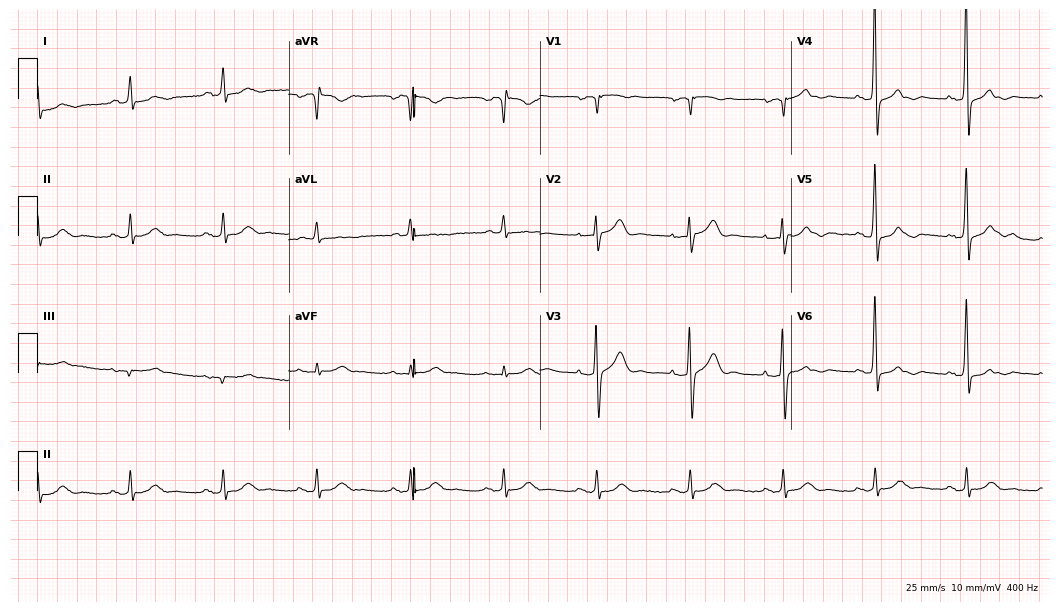
Resting 12-lead electrocardiogram. Patient: a male, 65 years old. Read as a normal ECG.